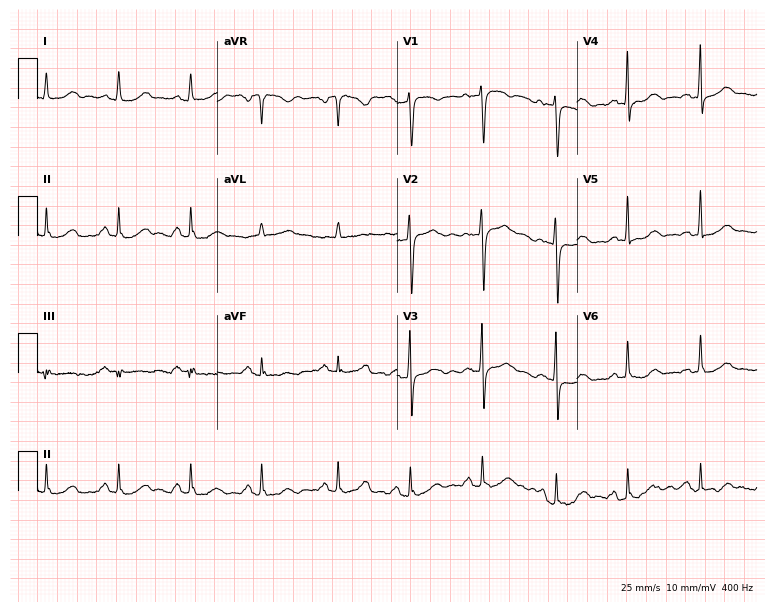
Standard 12-lead ECG recorded from a 64-year-old female (7.3-second recording at 400 Hz). Read as a normal ECG.